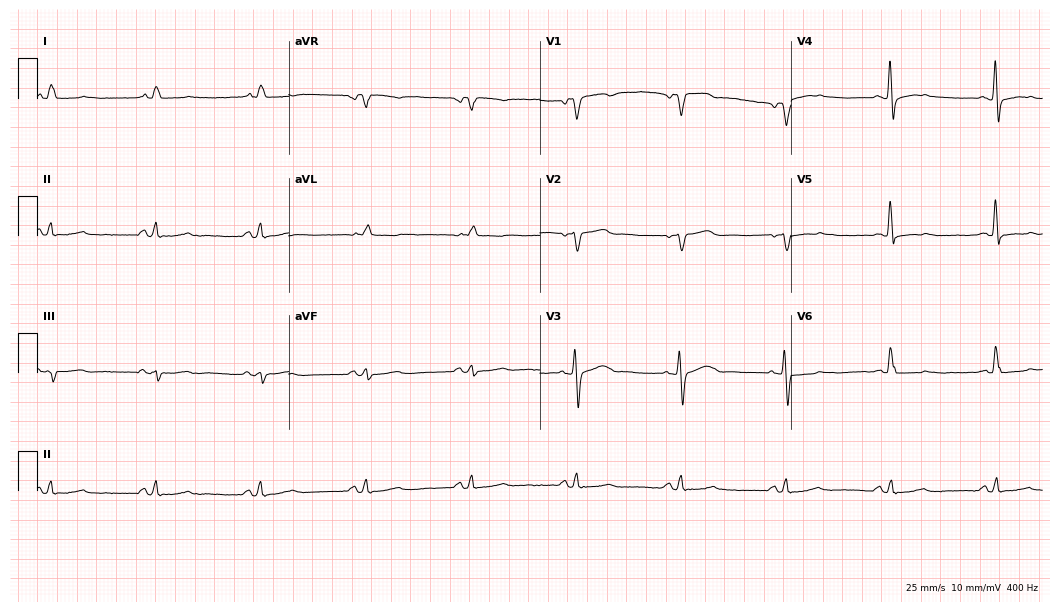
Resting 12-lead electrocardiogram. Patient: a male, 65 years old. None of these six findings is recorded: first-degree AV block, right bundle branch block, left bundle branch block, sinus bradycardia, atrial fibrillation, sinus tachycardia. Only these six findings were labelled.